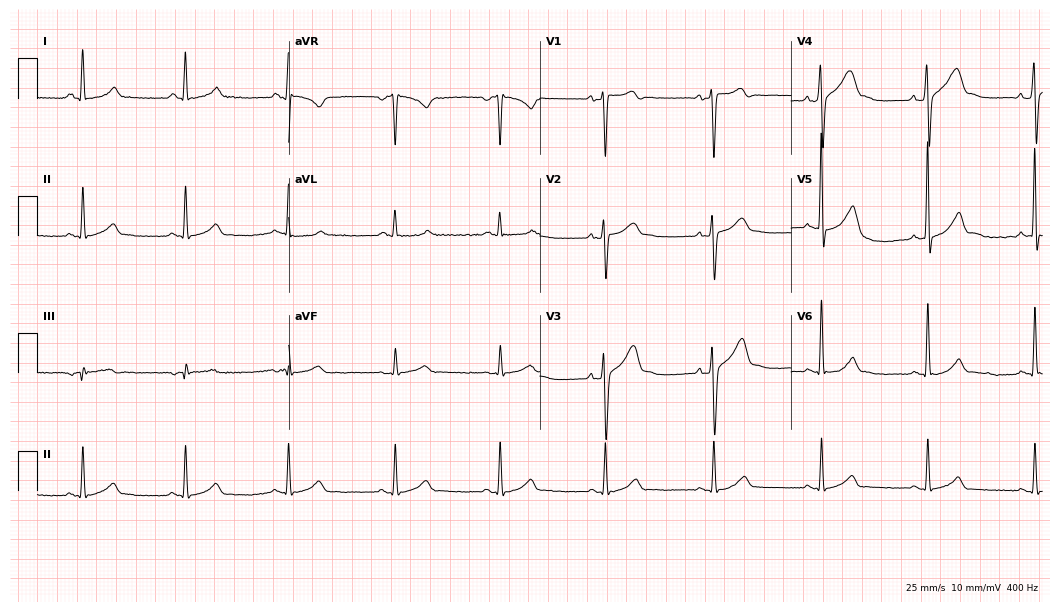
12-lead ECG from a man, 39 years old. Screened for six findings — first-degree AV block, right bundle branch block, left bundle branch block, sinus bradycardia, atrial fibrillation, sinus tachycardia — none is recorded. Other findings, if any, are not listed.